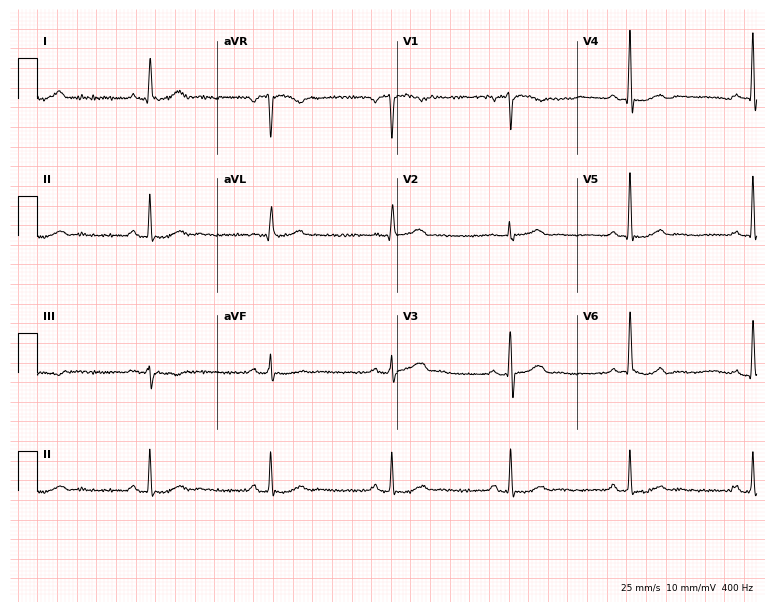
Electrocardiogram (7.3-second recording at 400 Hz), a man, 67 years old. Interpretation includes sinus bradycardia (a sinus rate of 50 beats per minute or less).